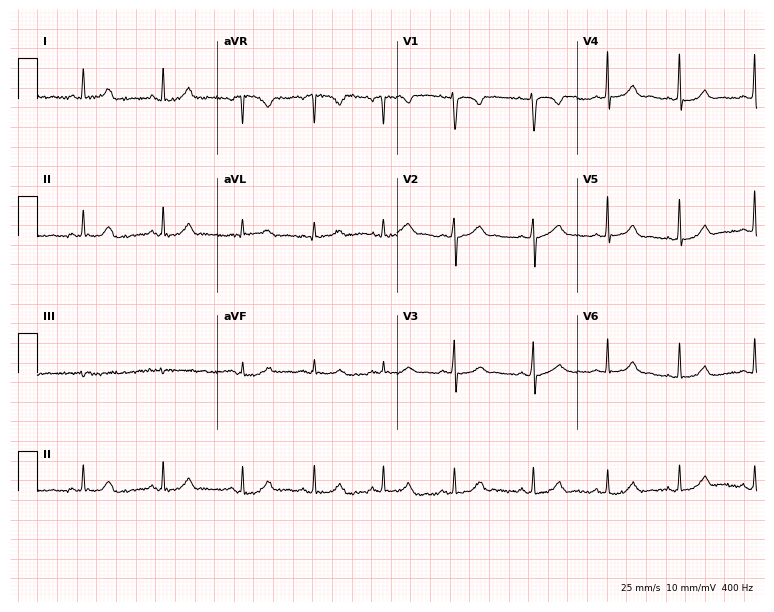
12-lead ECG from a woman, 28 years old (7.3-second recording at 400 Hz). Recorded interpretation: within normal limits.